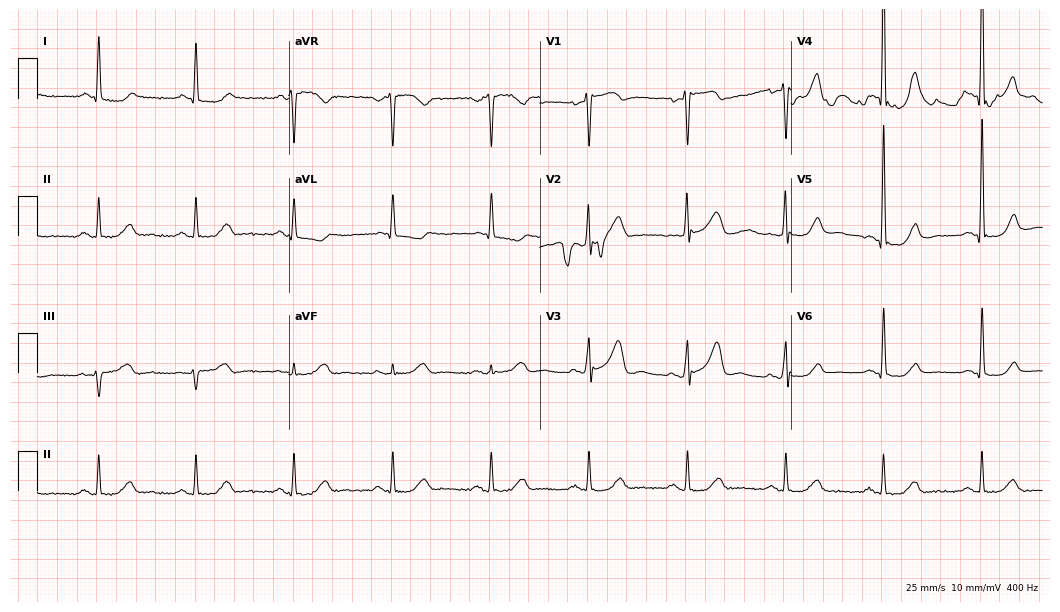
12-lead ECG from a 74-year-old male. Screened for six findings — first-degree AV block, right bundle branch block (RBBB), left bundle branch block (LBBB), sinus bradycardia, atrial fibrillation (AF), sinus tachycardia — none is recorded.